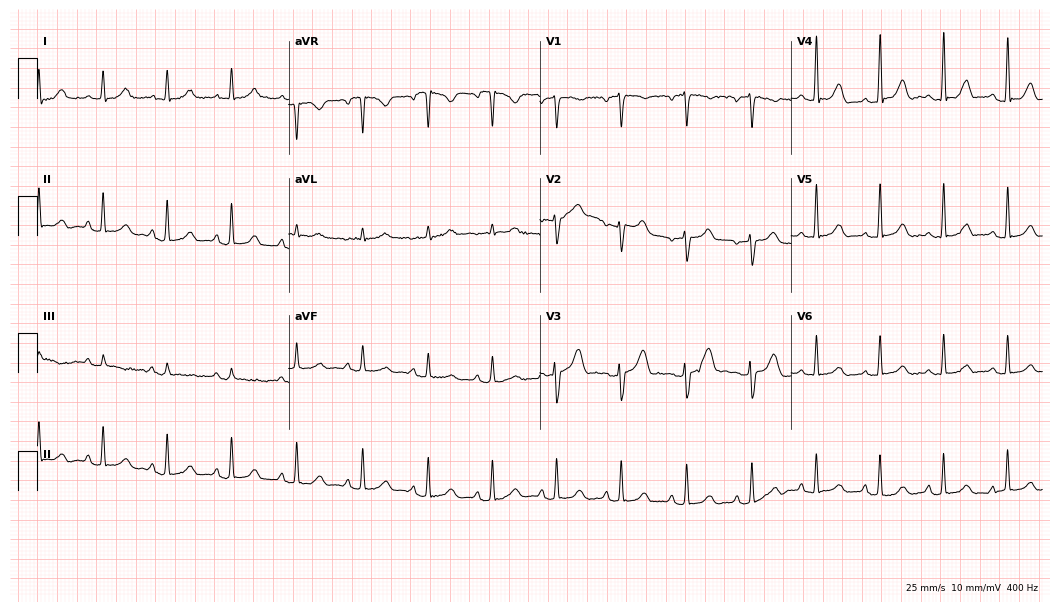
ECG (10.2-second recording at 400 Hz) — a woman, 46 years old. Labelled as a normal ECG.